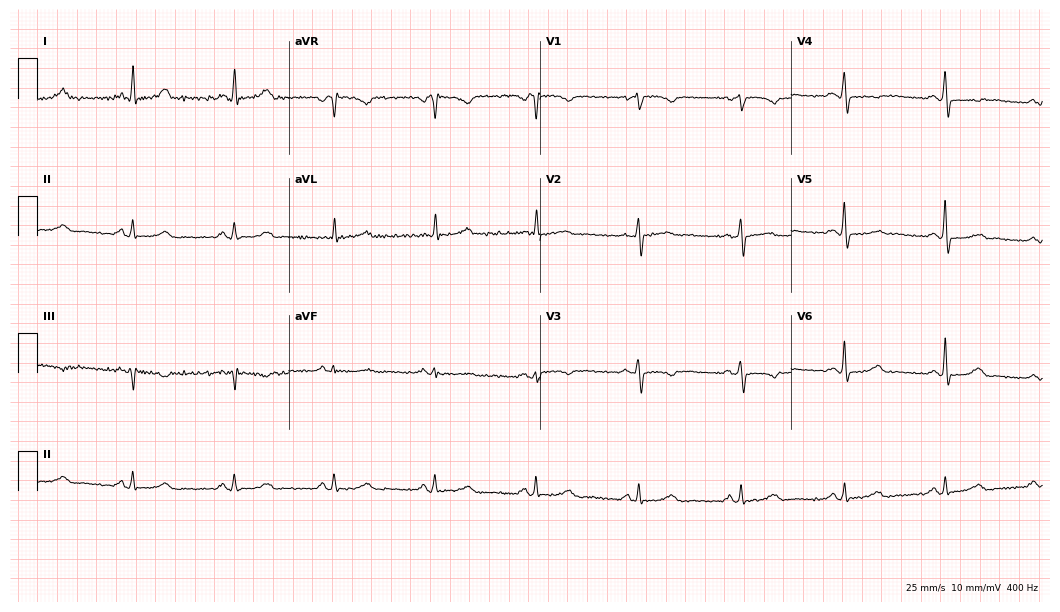
12-lead ECG from a 56-year-old female. Screened for six findings — first-degree AV block, right bundle branch block, left bundle branch block, sinus bradycardia, atrial fibrillation, sinus tachycardia — none is recorded.